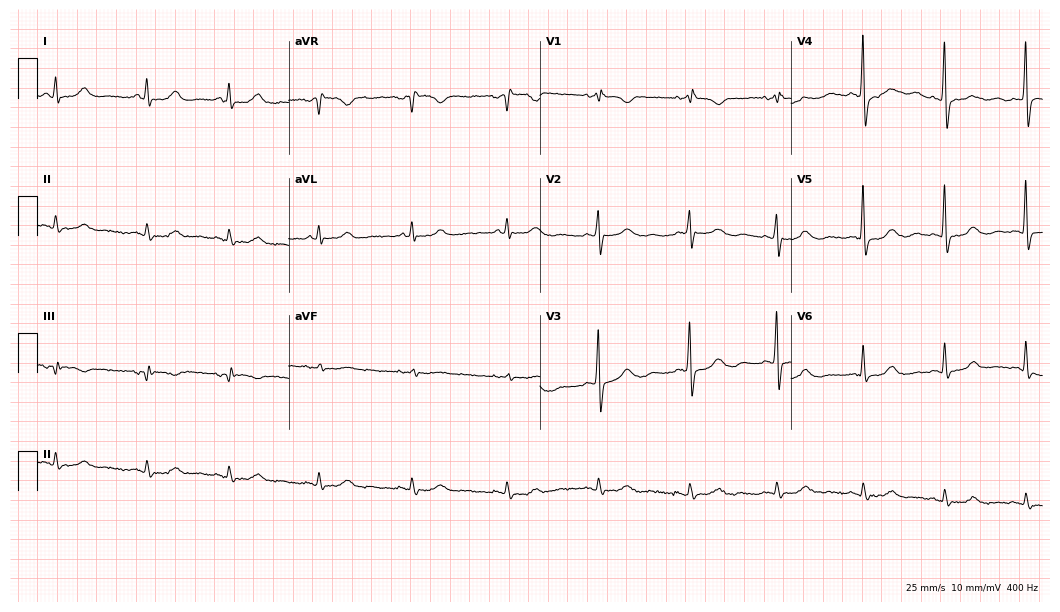
12-lead ECG from an 80-year-old female patient (10.2-second recording at 400 Hz). No first-degree AV block, right bundle branch block, left bundle branch block, sinus bradycardia, atrial fibrillation or sinus tachycardia recorded for this tracing.